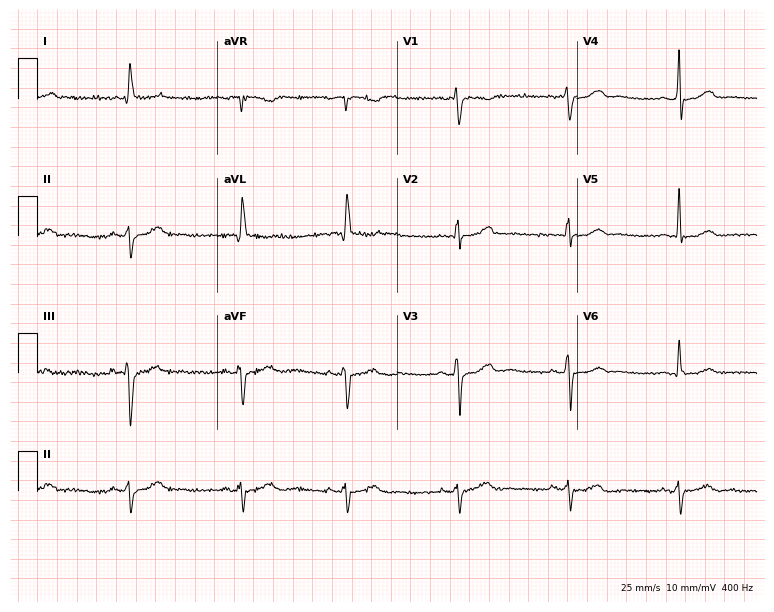
12-lead ECG from a female, 78 years old. Screened for six findings — first-degree AV block, right bundle branch block (RBBB), left bundle branch block (LBBB), sinus bradycardia, atrial fibrillation (AF), sinus tachycardia — none is recorded.